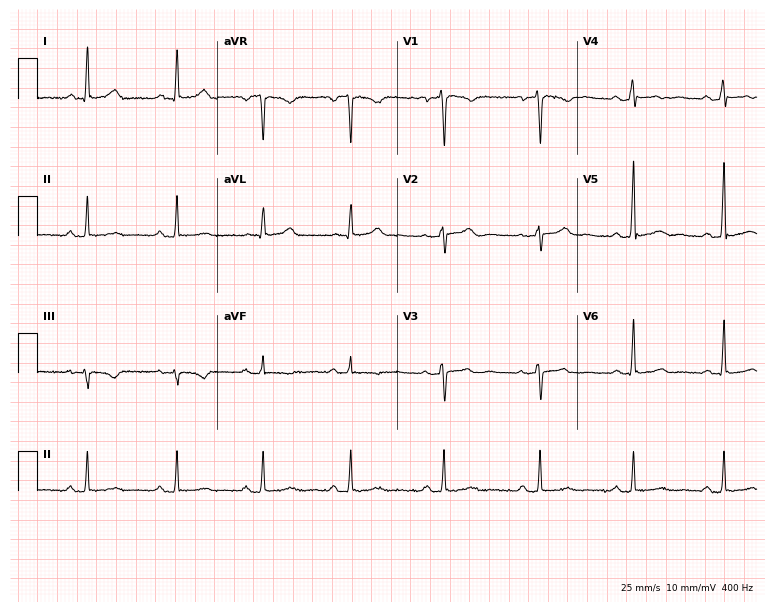
ECG — a woman, 60 years old. Screened for six findings — first-degree AV block, right bundle branch block, left bundle branch block, sinus bradycardia, atrial fibrillation, sinus tachycardia — none is recorded. Only these six findings were labelled.